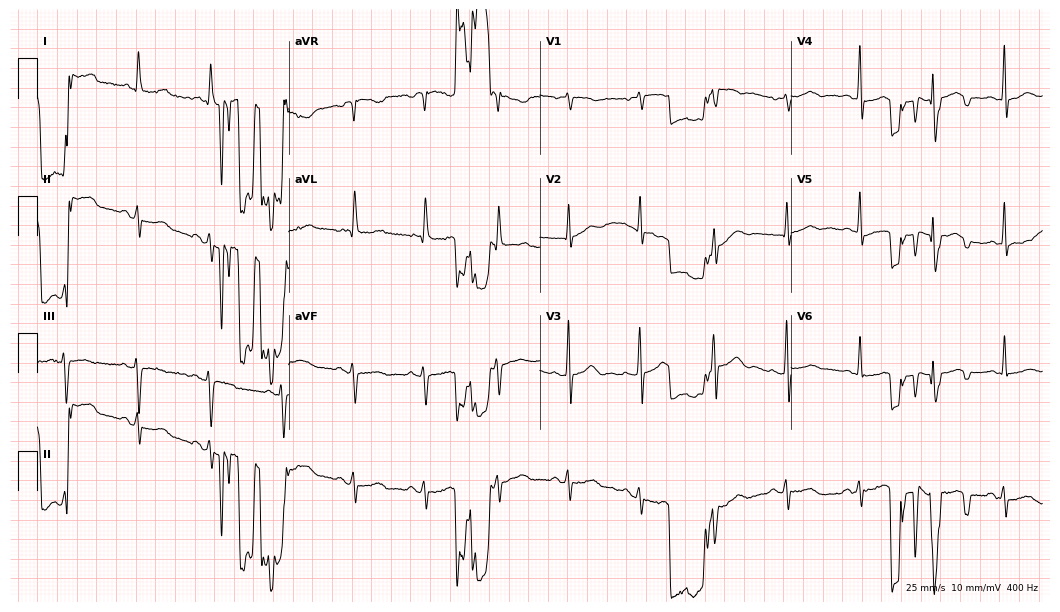
12-lead ECG from a female patient, 82 years old (10.2-second recording at 400 Hz). No first-degree AV block, right bundle branch block, left bundle branch block, sinus bradycardia, atrial fibrillation or sinus tachycardia recorded for this tracing.